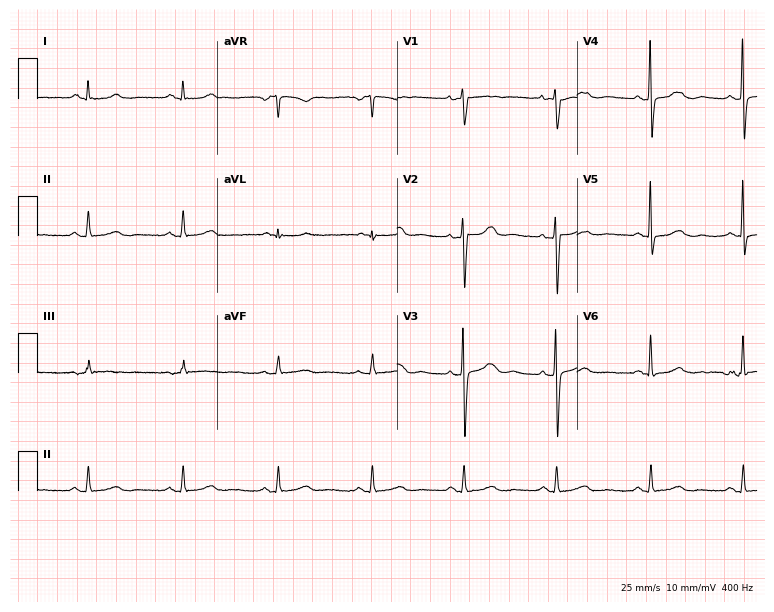
Resting 12-lead electrocardiogram (7.3-second recording at 400 Hz). Patient: a 37-year-old woman. Read as a normal ECG.